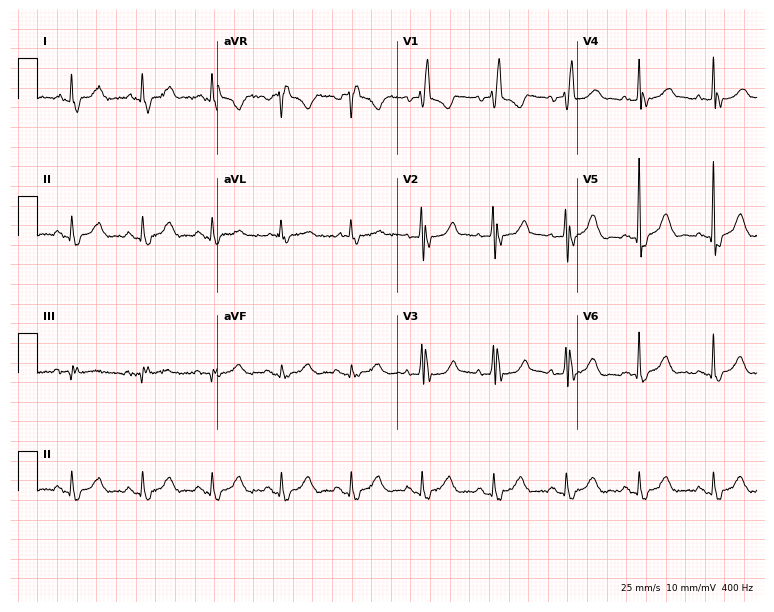
Electrocardiogram, a 72-year-old female. Interpretation includes right bundle branch block.